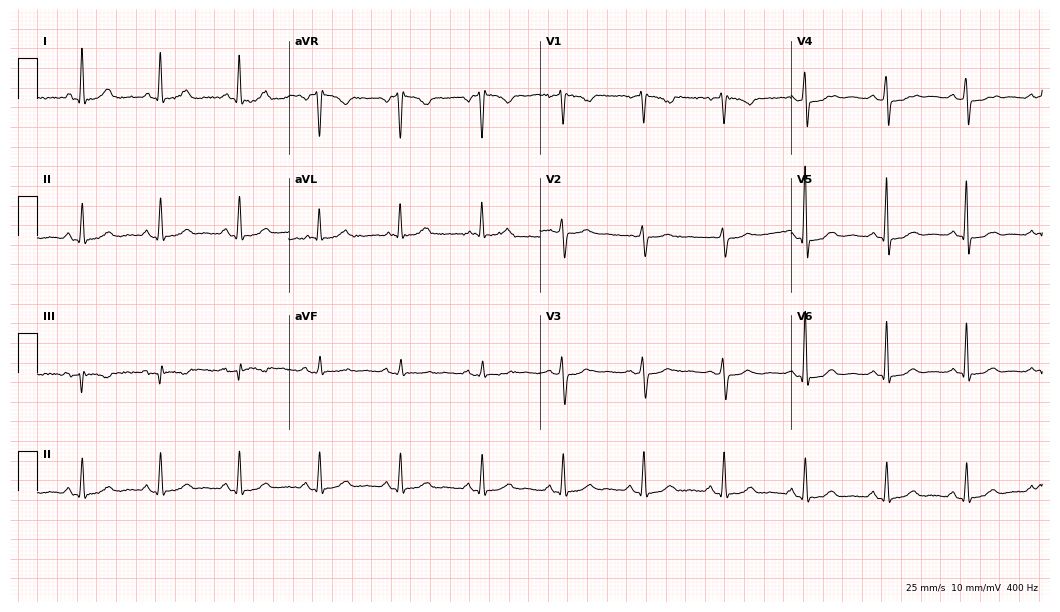
12-lead ECG from a 72-year-old female patient (10.2-second recording at 400 Hz). No first-degree AV block, right bundle branch block (RBBB), left bundle branch block (LBBB), sinus bradycardia, atrial fibrillation (AF) or sinus tachycardia recorded for this tracing. Other findings, if any, are not listed.